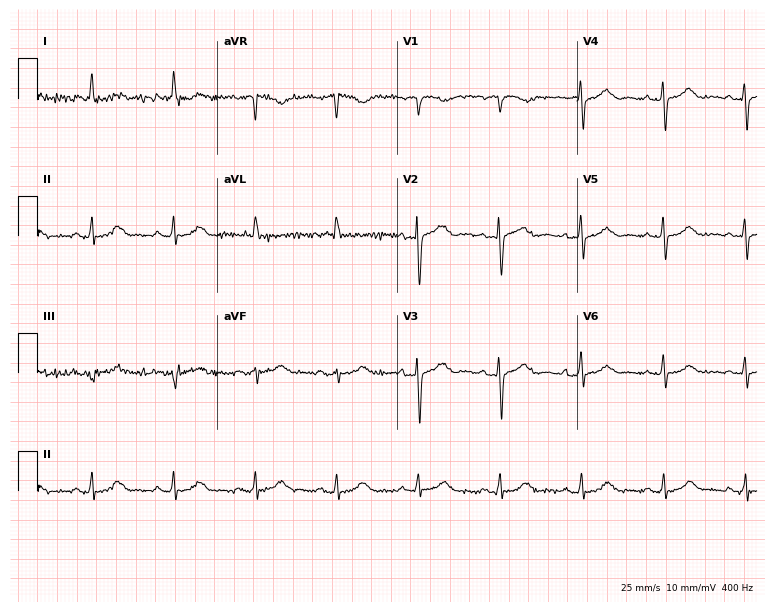
Electrocardiogram, an 84-year-old female. Overall reading on record: normal ECG.